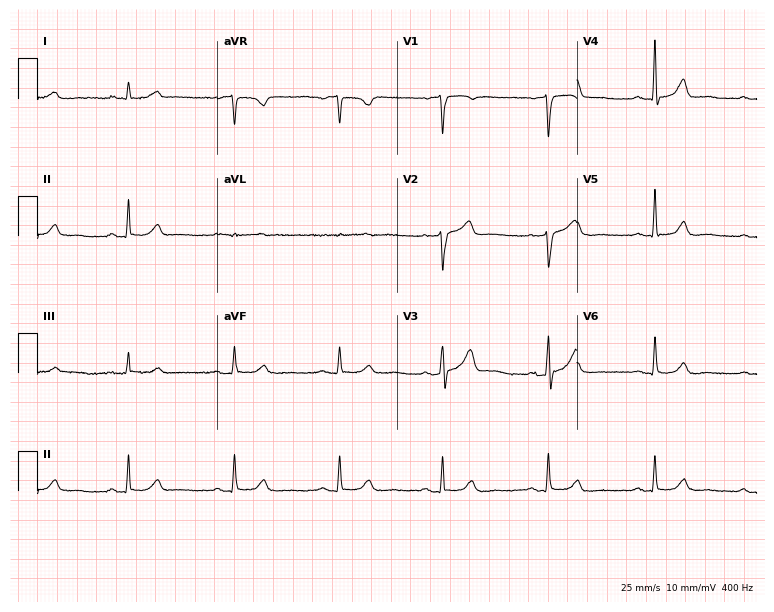
12-lead ECG from a male patient, 72 years old. Recorded interpretation: within normal limits.